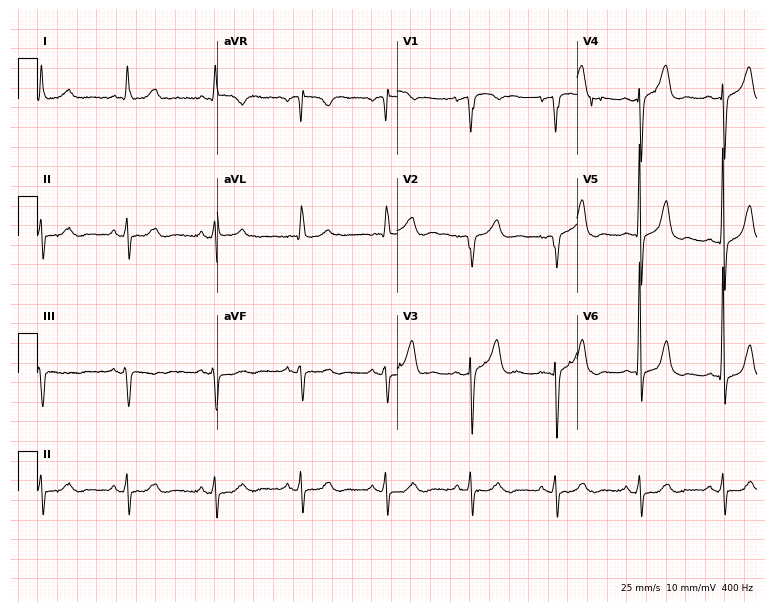
Standard 12-lead ECG recorded from an 80-year-old female. None of these six findings is recorded: first-degree AV block, right bundle branch block (RBBB), left bundle branch block (LBBB), sinus bradycardia, atrial fibrillation (AF), sinus tachycardia. Findings outside these six are not listed.